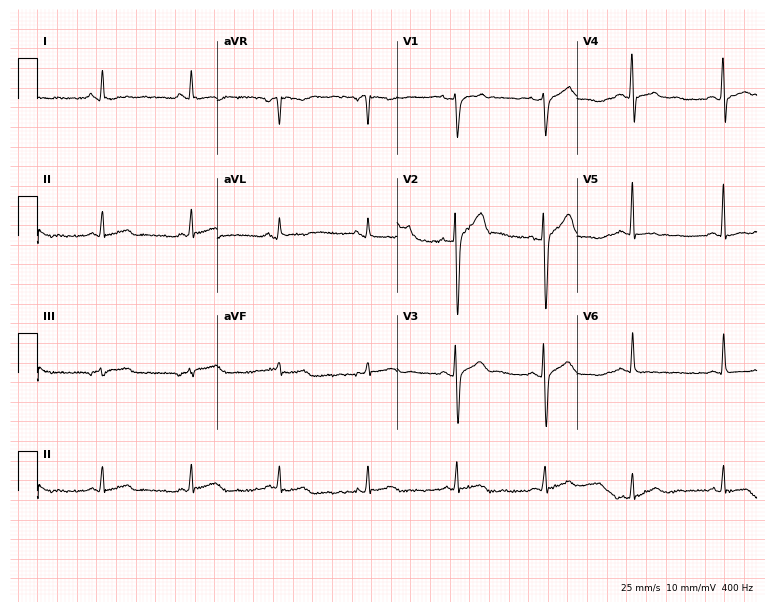
Standard 12-lead ECG recorded from a 36-year-old male. None of these six findings is recorded: first-degree AV block, right bundle branch block, left bundle branch block, sinus bradycardia, atrial fibrillation, sinus tachycardia.